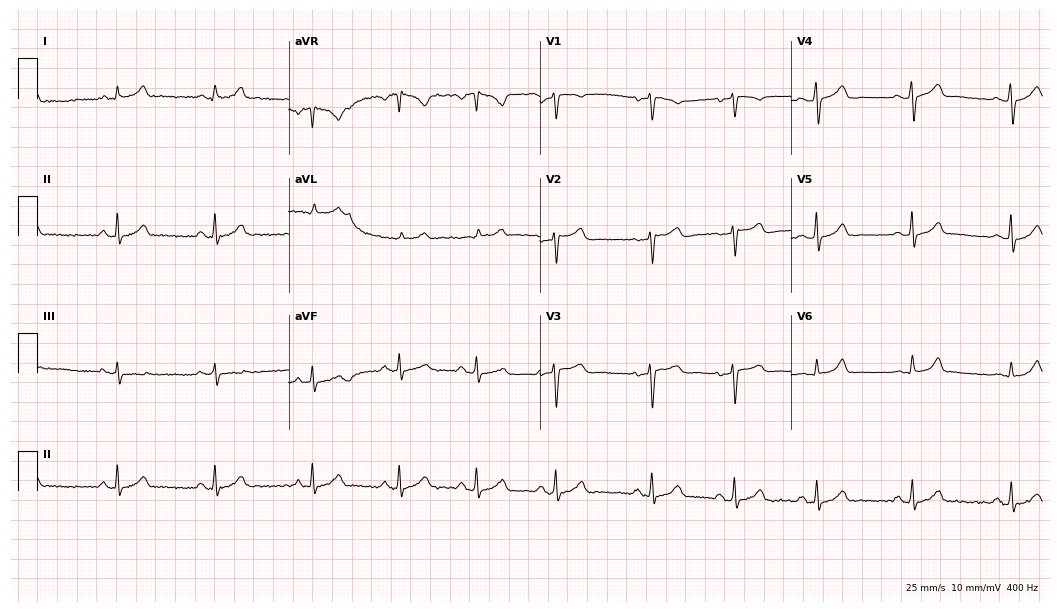
Standard 12-lead ECG recorded from a woman, 34 years old (10.2-second recording at 400 Hz). None of these six findings is recorded: first-degree AV block, right bundle branch block, left bundle branch block, sinus bradycardia, atrial fibrillation, sinus tachycardia. Only these six findings were labelled.